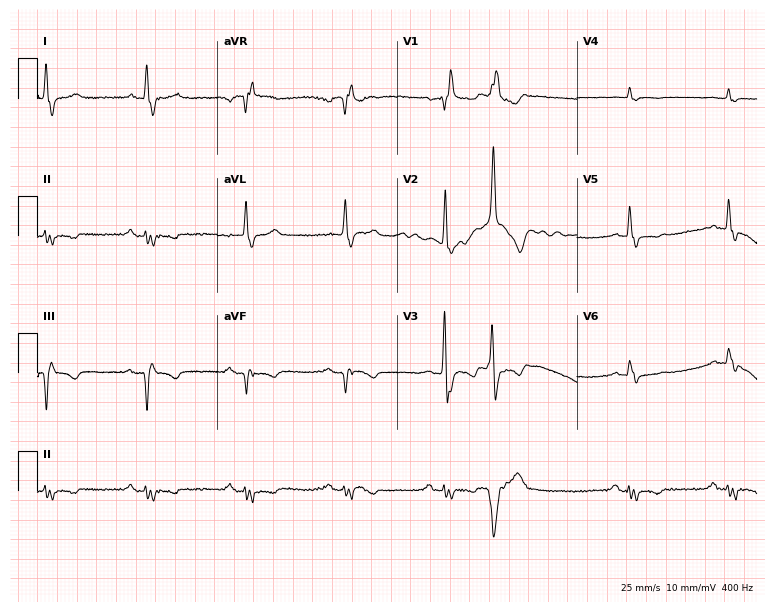
12-lead ECG (7.3-second recording at 400 Hz) from a 77-year-old man. Screened for six findings — first-degree AV block, right bundle branch block (RBBB), left bundle branch block (LBBB), sinus bradycardia, atrial fibrillation (AF), sinus tachycardia — none is recorded.